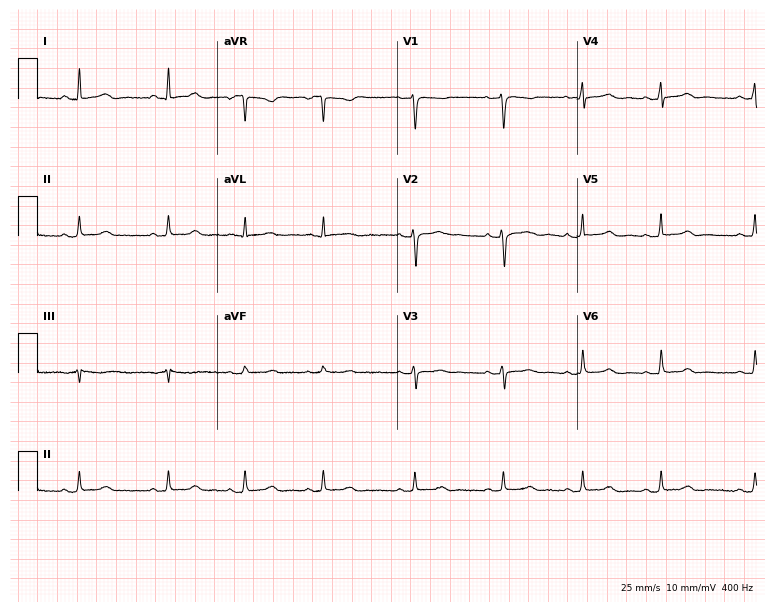
Electrocardiogram, a female patient, 26 years old. Of the six screened findings (first-degree AV block, right bundle branch block (RBBB), left bundle branch block (LBBB), sinus bradycardia, atrial fibrillation (AF), sinus tachycardia), none is recorded.